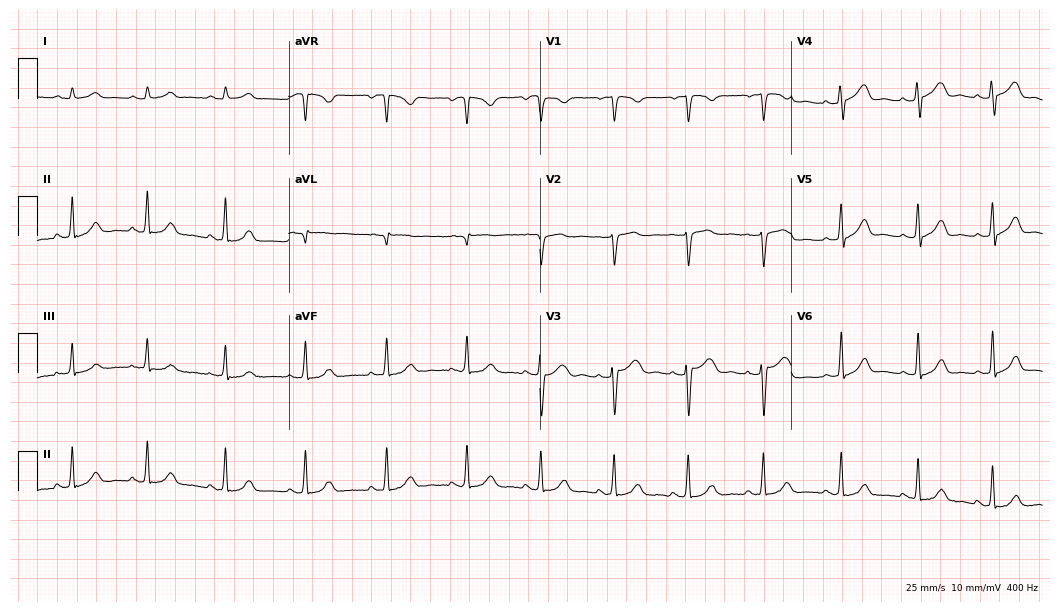
12-lead ECG from a 27-year-old female patient. Screened for six findings — first-degree AV block, right bundle branch block, left bundle branch block, sinus bradycardia, atrial fibrillation, sinus tachycardia — none is recorded.